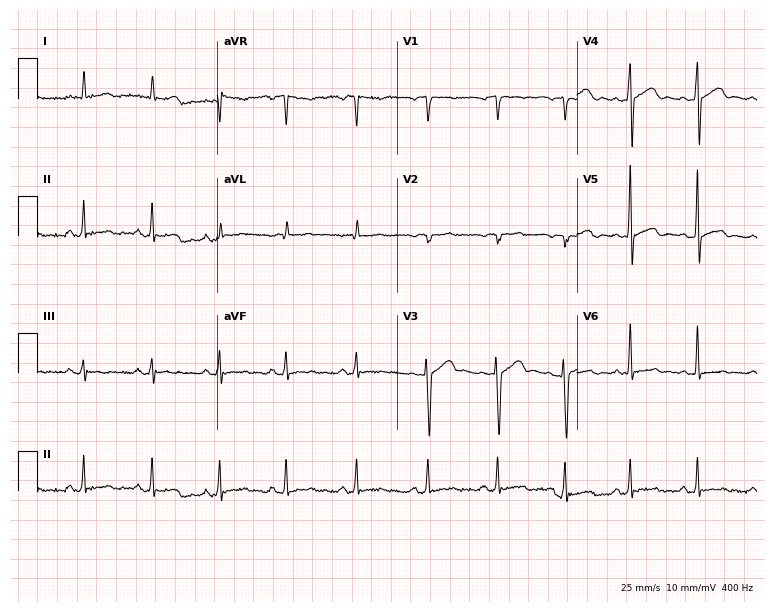
ECG (7.3-second recording at 400 Hz) — a male, 59 years old. Screened for six findings — first-degree AV block, right bundle branch block, left bundle branch block, sinus bradycardia, atrial fibrillation, sinus tachycardia — none is recorded.